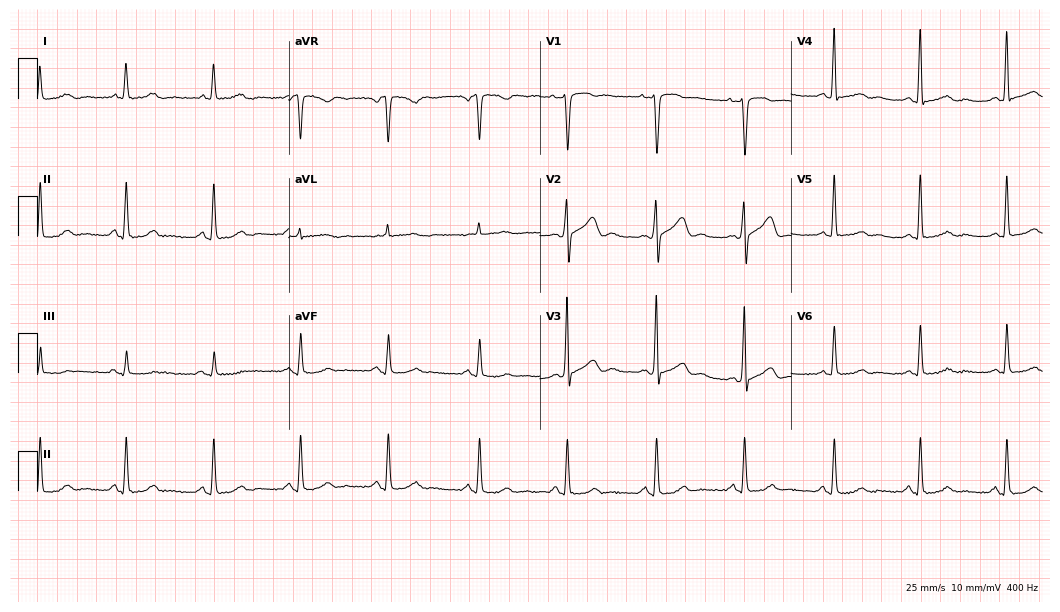
Resting 12-lead electrocardiogram. Patient: a 51-year-old male. Read as a normal ECG.